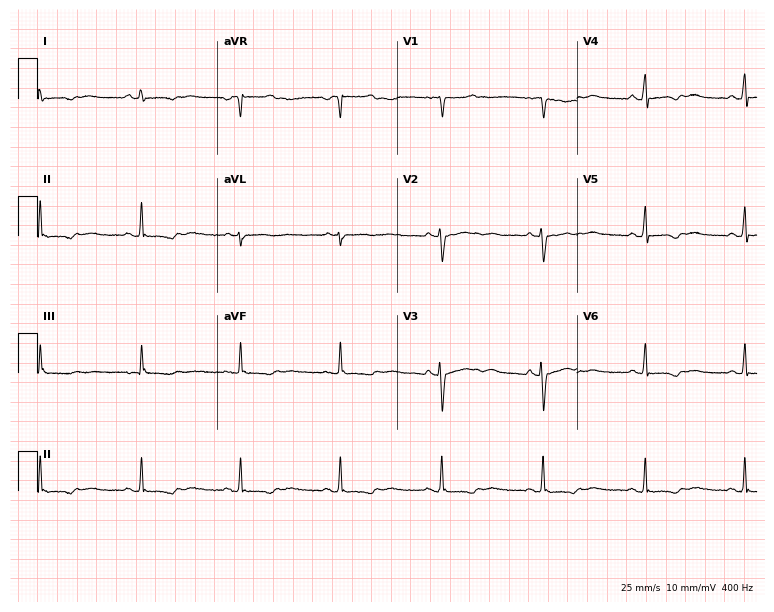
Standard 12-lead ECG recorded from a 46-year-old female. None of these six findings is recorded: first-degree AV block, right bundle branch block, left bundle branch block, sinus bradycardia, atrial fibrillation, sinus tachycardia.